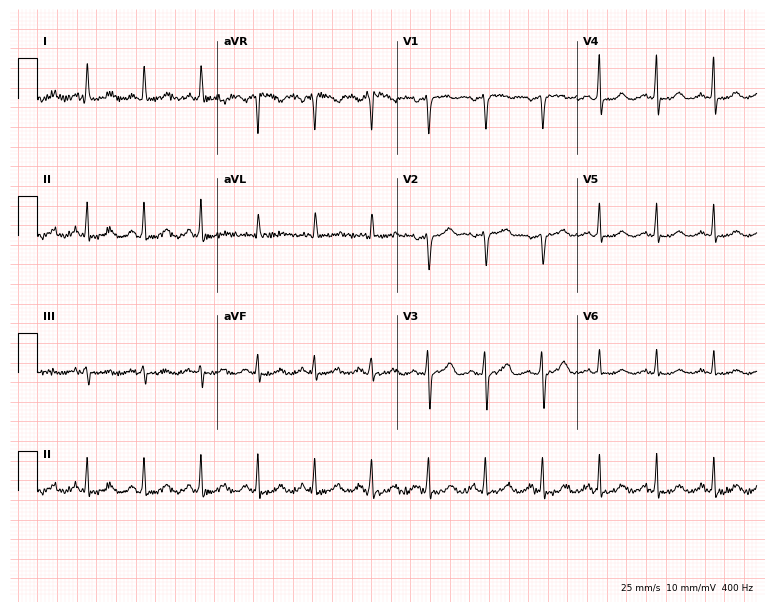
ECG (7.3-second recording at 400 Hz) — a female patient, 69 years old. Findings include sinus tachycardia (a sinus rate of 100 beats per minute or more).